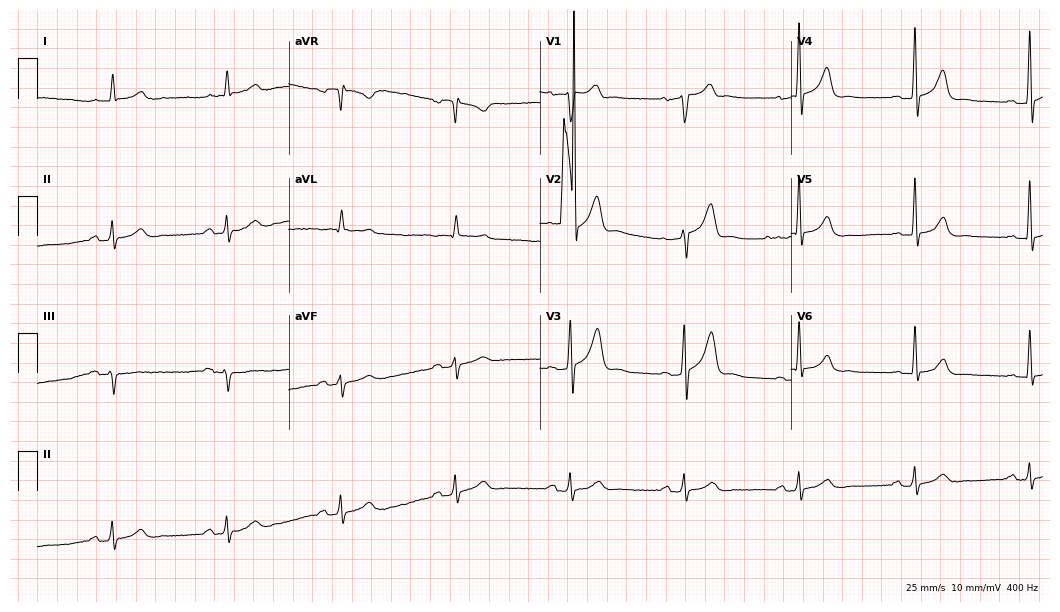
12-lead ECG from an 80-year-old male. Labelled as a normal ECG.